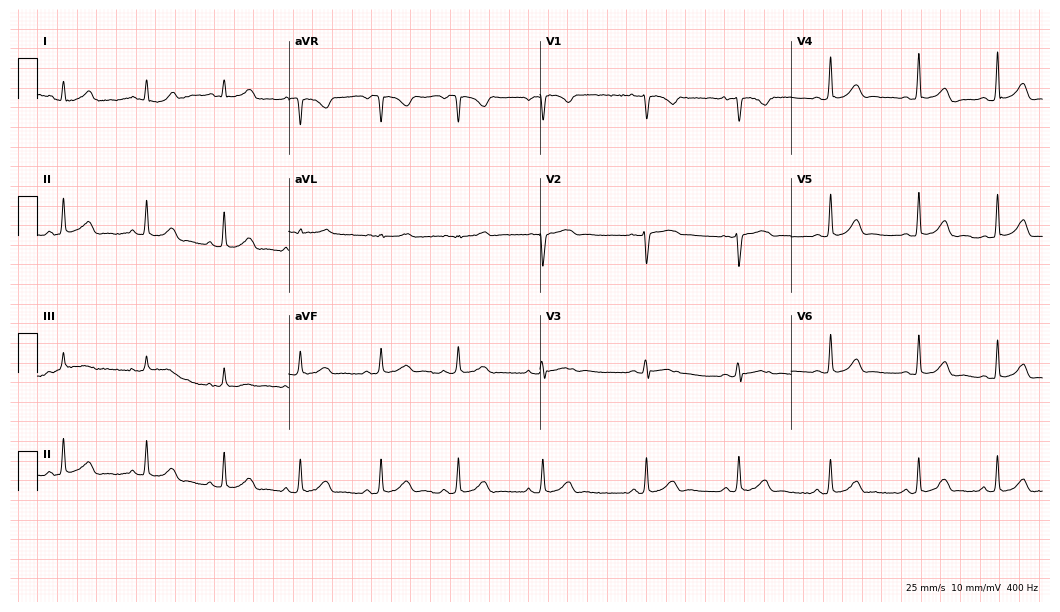
ECG (10.2-second recording at 400 Hz) — a female, 27 years old. Labelled as a normal ECG.